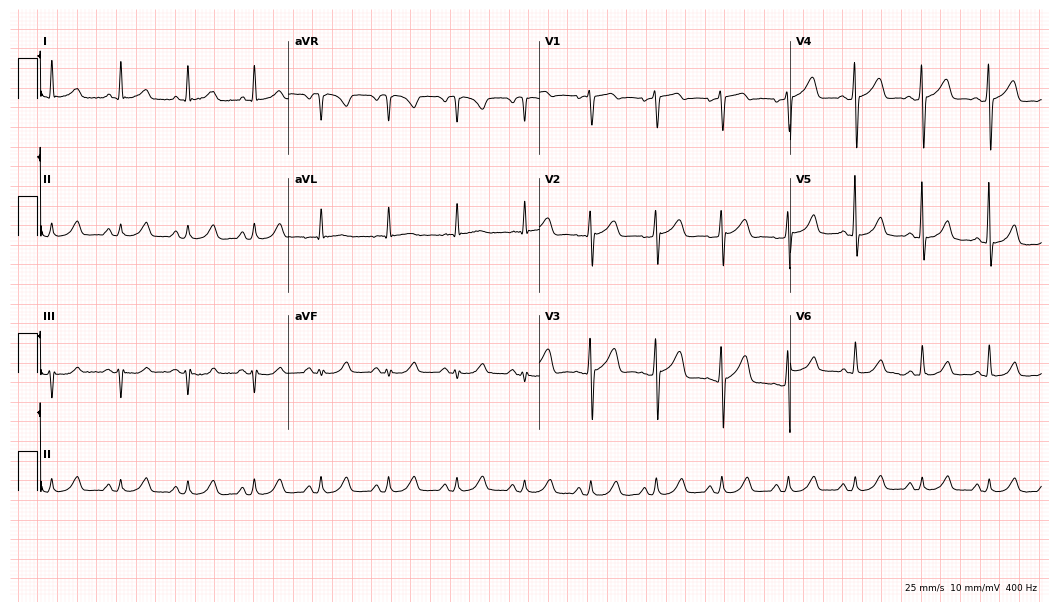
Resting 12-lead electrocardiogram (10.2-second recording at 400 Hz). Patient: a female, 54 years old. None of these six findings is recorded: first-degree AV block, right bundle branch block (RBBB), left bundle branch block (LBBB), sinus bradycardia, atrial fibrillation (AF), sinus tachycardia.